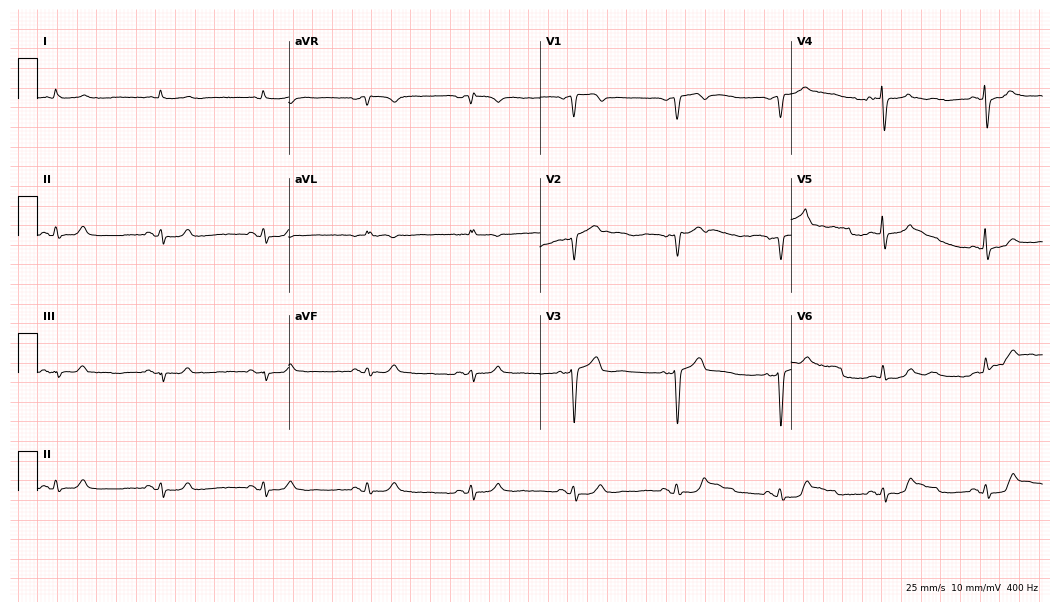
12-lead ECG from a man, 77 years old (10.2-second recording at 400 Hz). No first-degree AV block, right bundle branch block (RBBB), left bundle branch block (LBBB), sinus bradycardia, atrial fibrillation (AF) or sinus tachycardia recorded for this tracing. Findings outside these six are not listed.